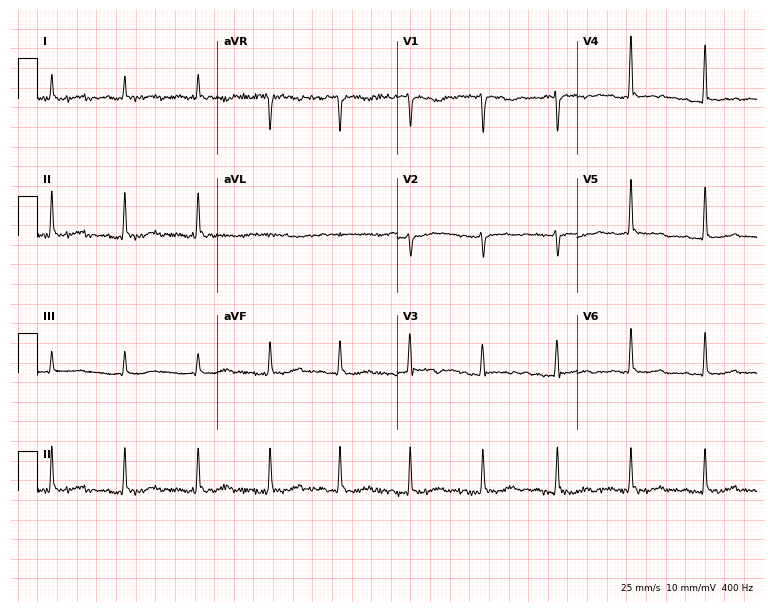
12-lead ECG from a 51-year-old female patient. Screened for six findings — first-degree AV block, right bundle branch block, left bundle branch block, sinus bradycardia, atrial fibrillation, sinus tachycardia — none is recorded. Findings outside these six are not listed.